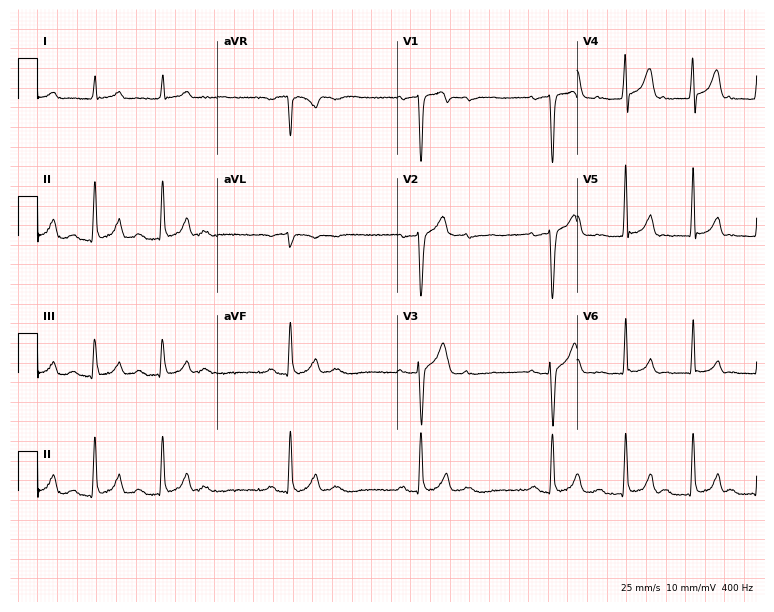
Electrocardiogram (7.3-second recording at 400 Hz), a 46-year-old male. Of the six screened findings (first-degree AV block, right bundle branch block (RBBB), left bundle branch block (LBBB), sinus bradycardia, atrial fibrillation (AF), sinus tachycardia), none is recorded.